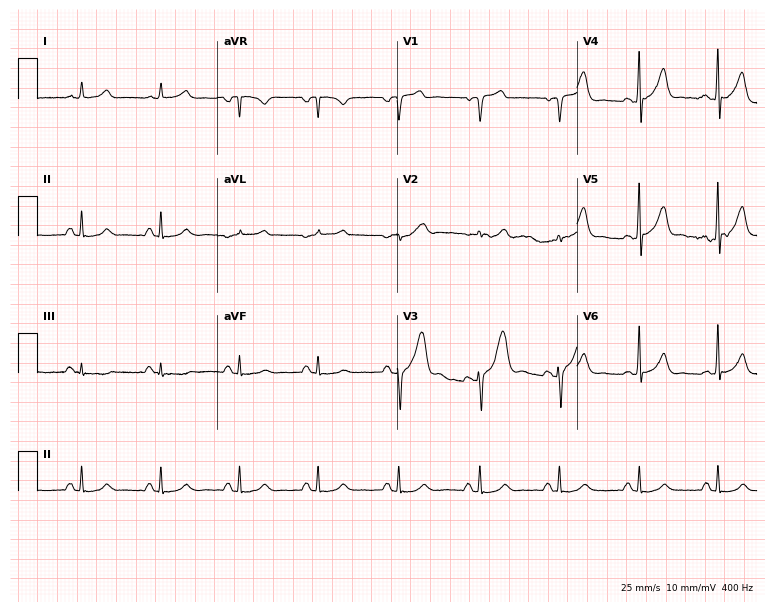
ECG — a 70-year-old male patient. Screened for six findings — first-degree AV block, right bundle branch block, left bundle branch block, sinus bradycardia, atrial fibrillation, sinus tachycardia — none is recorded.